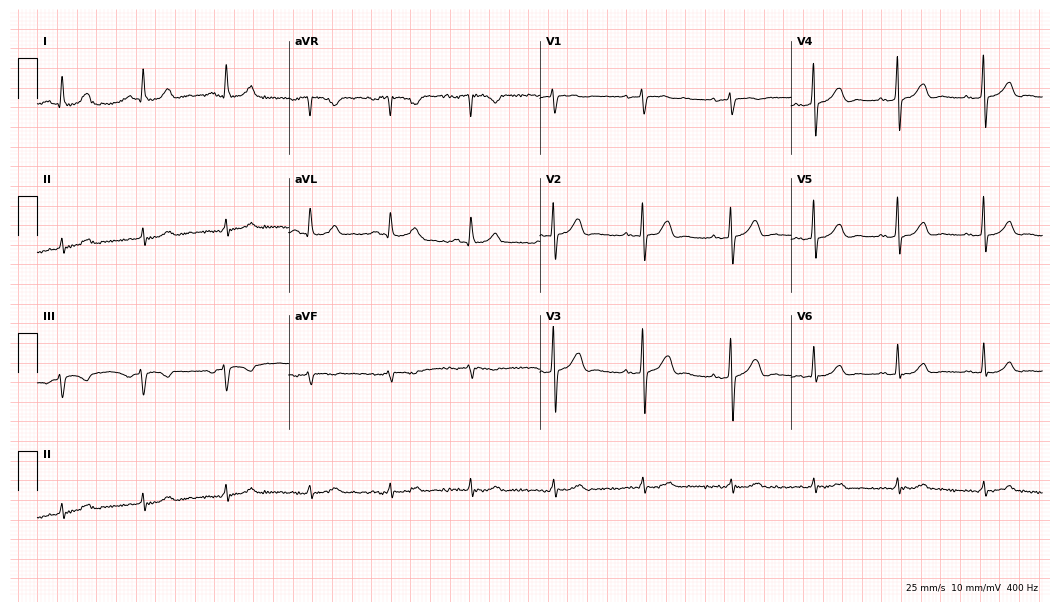
Standard 12-lead ECG recorded from a 57-year-old male. Read as a normal ECG.